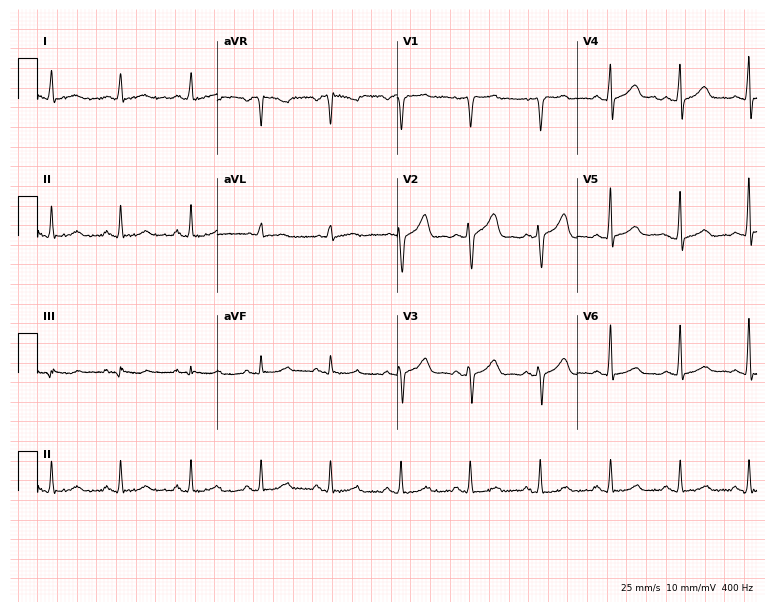
12-lead ECG from a woman, 49 years old. Screened for six findings — first-degree AV block, right bundle branch block, left bundle branch block, sinus bradycardia, atrial fibrillation, sinus tachycardia — none is recorded. Only these six findings were labelled.